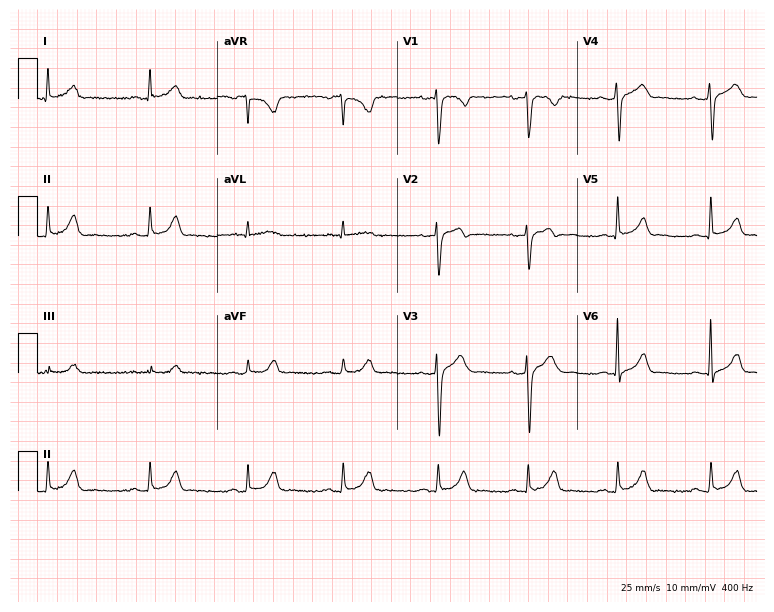
Electrocardiogram, a 36-year-old male. Overall reading on record: normal ECG.